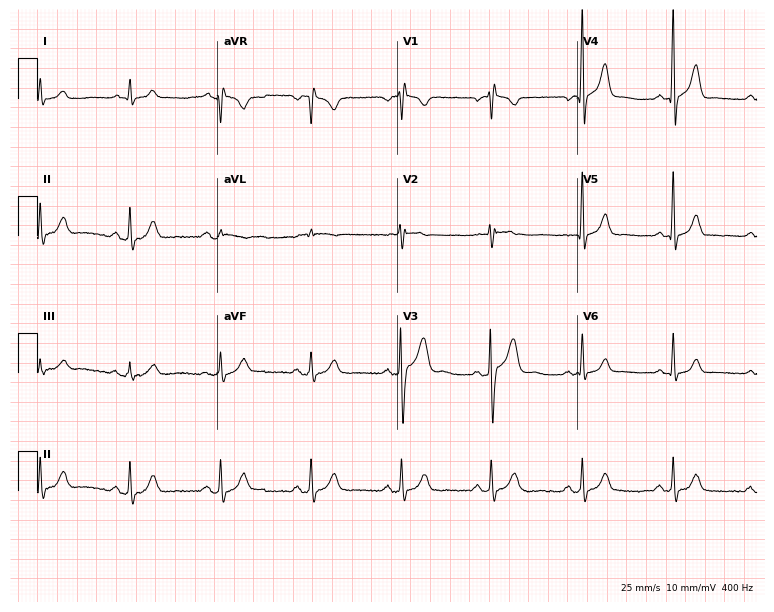
ECG — a male patient, 41 years old. Screened for six findings — first-degree AV block, right bundle branch block, left bundle branch block, sinus bradycardia, atrial fibrillation, sinus tachycardia — none is recorded.